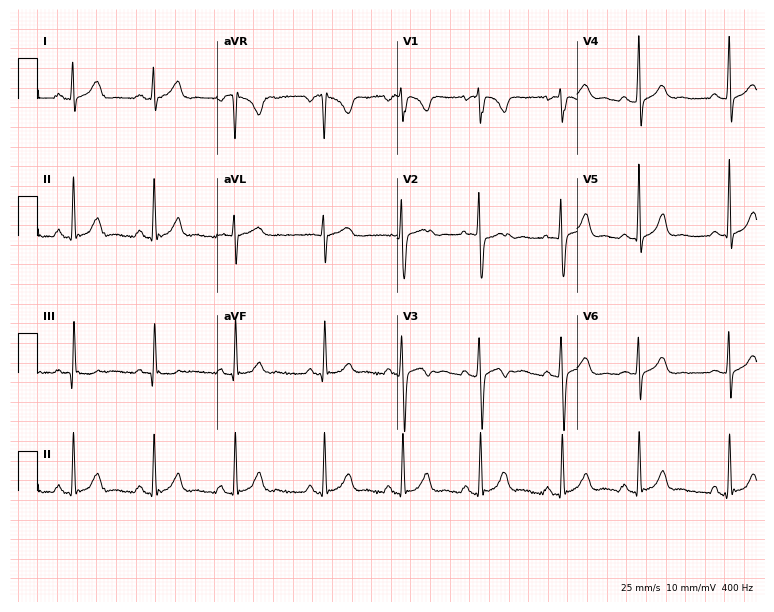
Resting 12-lead electrocardiogram (7.3-second recording at 400 Hz). Patient: a female, 20 years old. None of these six findings is recorded: first-degree AV block, right bundle branch block, left bundle branch block, sinus bradycardia, atrial fibrillation, sinus tachycardia. Only these six findings were labelled.